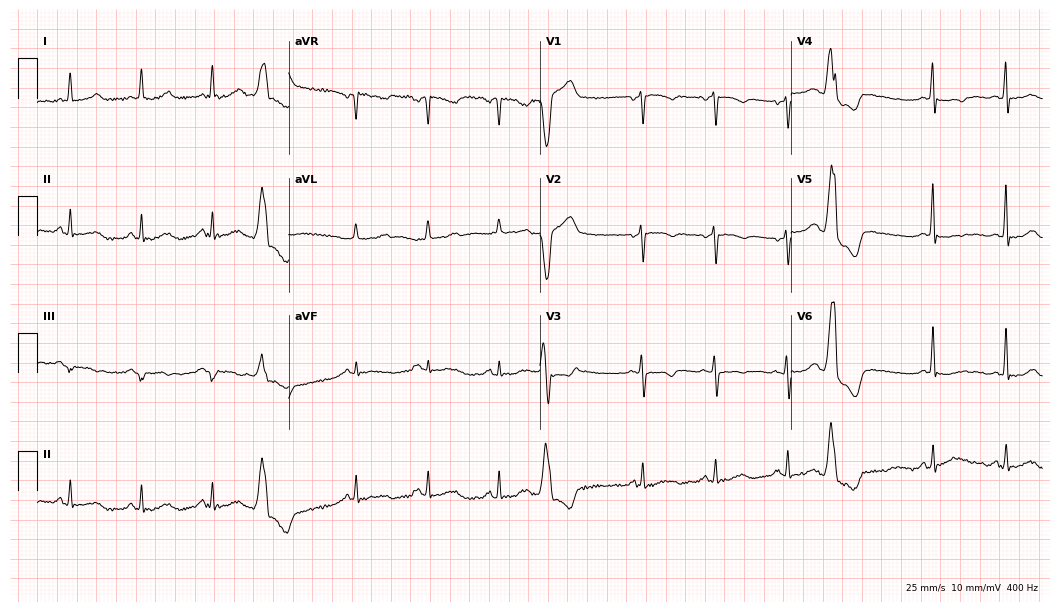
12-lead ECG from a female patient, 70 years old. Screened for six findings — first-degree AV block, right bundle branch block, left bundle branch block, sinus bradycardia, atrial fibrillation, sinus tachycardia — none is recorded. Other findings, if any, are not listed.